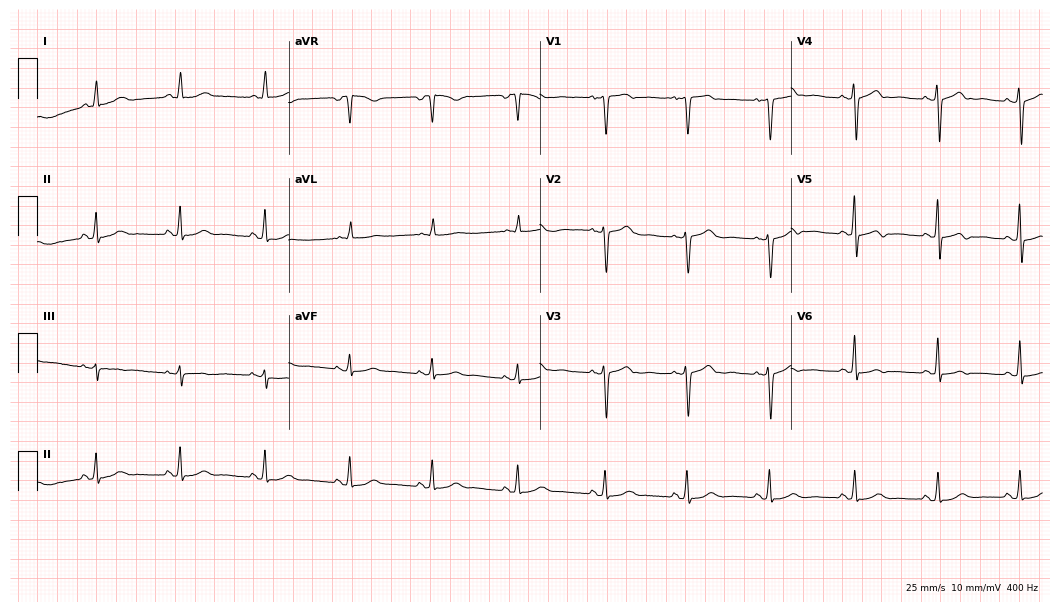
12-lead ECG (10.2-second recording at 400 Hz) from a 70-year-old female patient. Screened for six findings — first-degree AV block, right bundle branch block (RBBB), left bundle branch block (LBBB), sinus bradycardia, atrial fibrillation (AF), sinus tachycardia — none is recorded. Other findings, if any, are not listed.